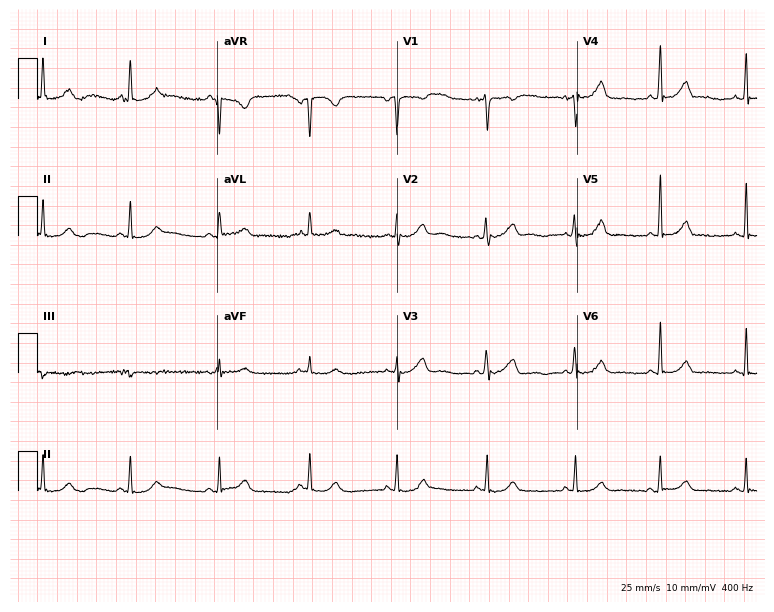
Electrocardiogram (7.3-second recording at 400 Hz), a 47-year-old woman. Overall reading on record: normal ECG.